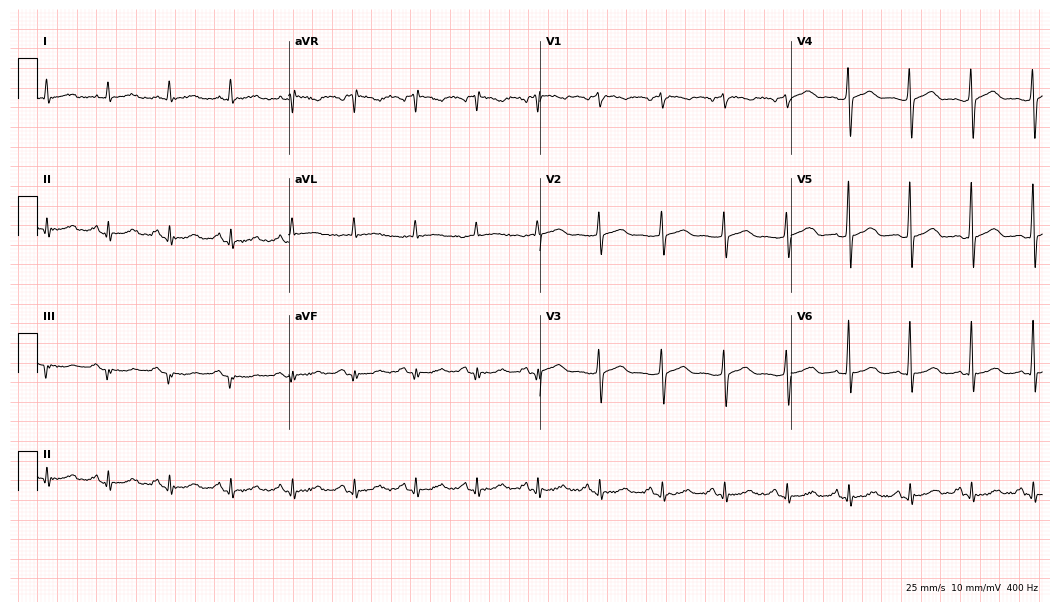
ECG — a 69-year-old man. Labelled as a normal ECG.